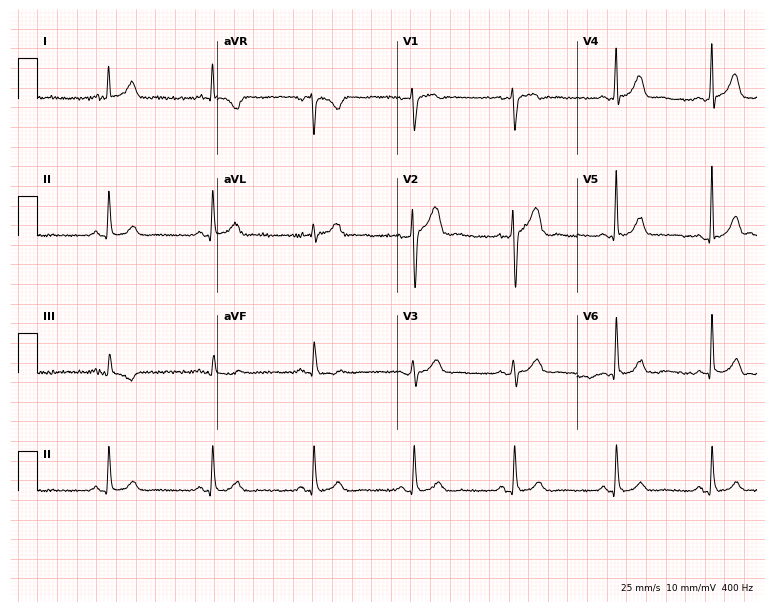
12-lead ECG from a 59-year-old male patient. Recorded interpretation: within normal limits.